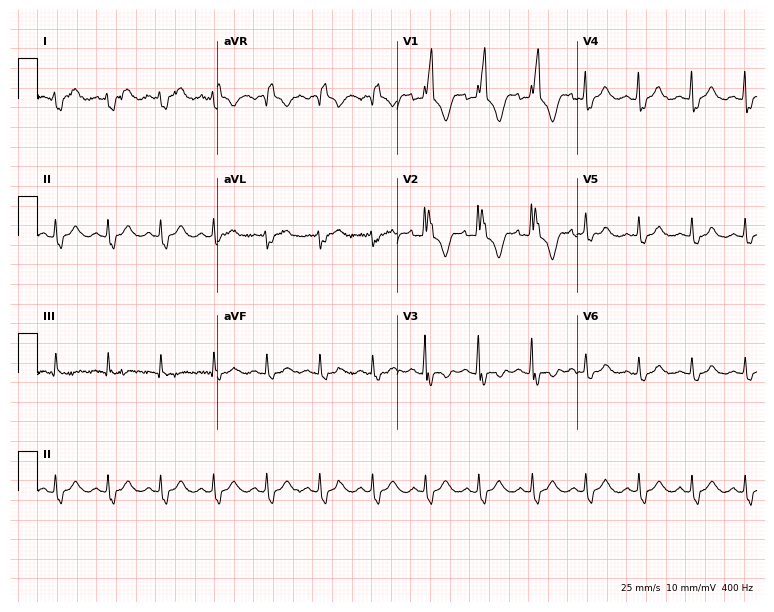
Electrocardiogram (7.3-second recording at 400 Hz), a 21-year-old female. Interpretation includes right bundle branch block, sinus tachycardia (a sinus rate of 100 beats per minute or more).